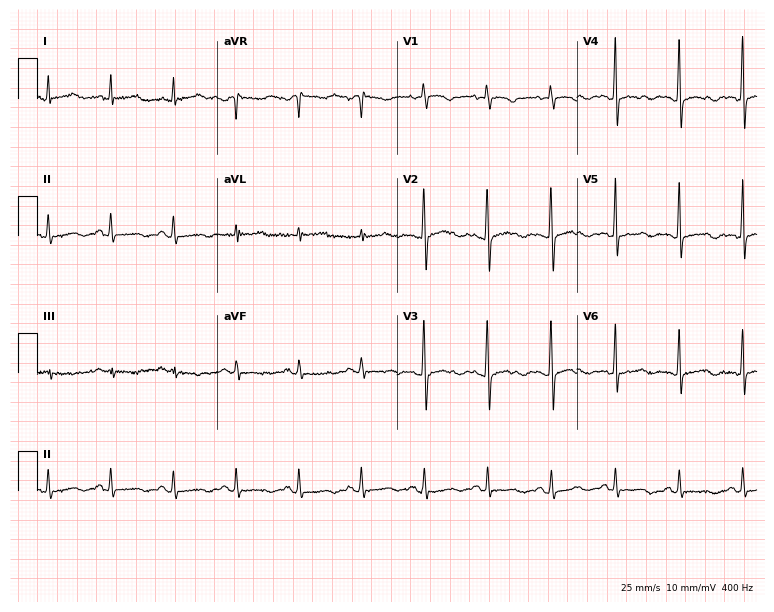
12-lead ECG from a female, 55 years old. Screened for six findings — first-degree AV block, right bundle branch block, left bundle branch block, sinus bradycardia, atrial fibrillation, sinus tachycardia — none is recorded. Only these six findings were labelled.